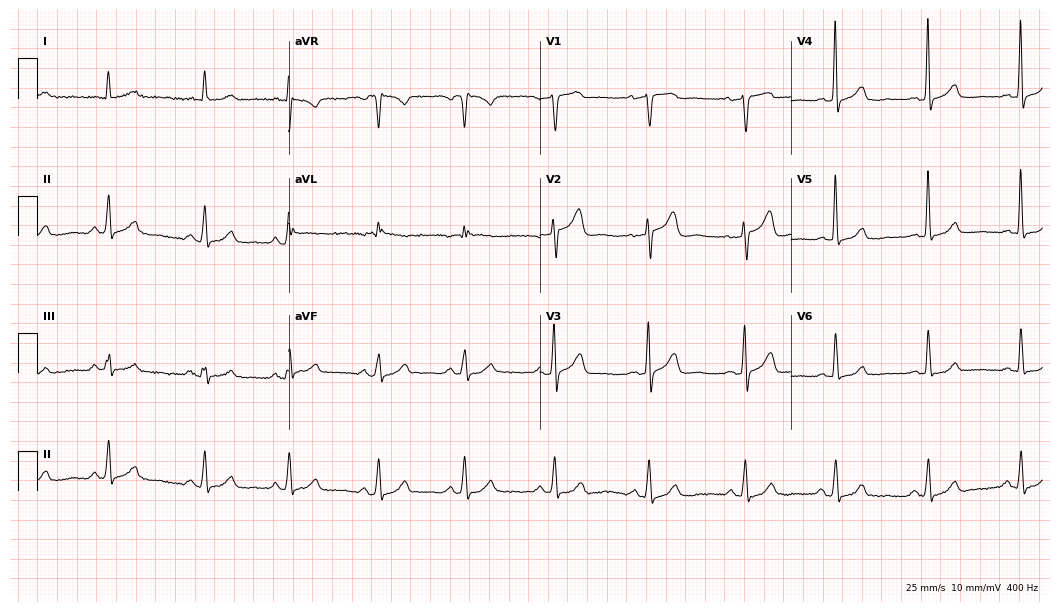
Electrocardiogram (10.2-second recording at 400 Hz), a female, 50 years old. Overall reading on record: normal ECG.